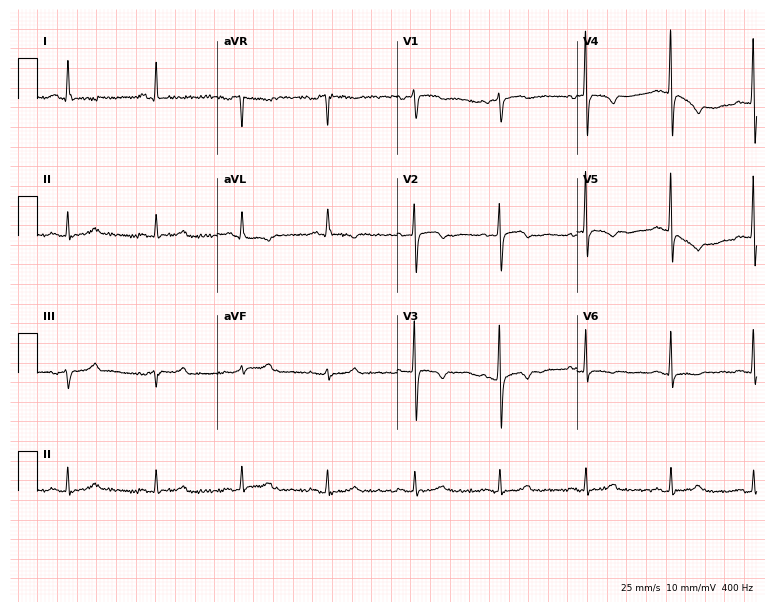
12-lead ECG from a female patient, 67 years old. No first-degree AV block, right bundle branch block (RBBB), left bundle branch block (LBBB), sinus bradycardia, atrial fibrillation (AF) or sinus tachycardia recorded for this tracing. Findings outside these six are not listed.